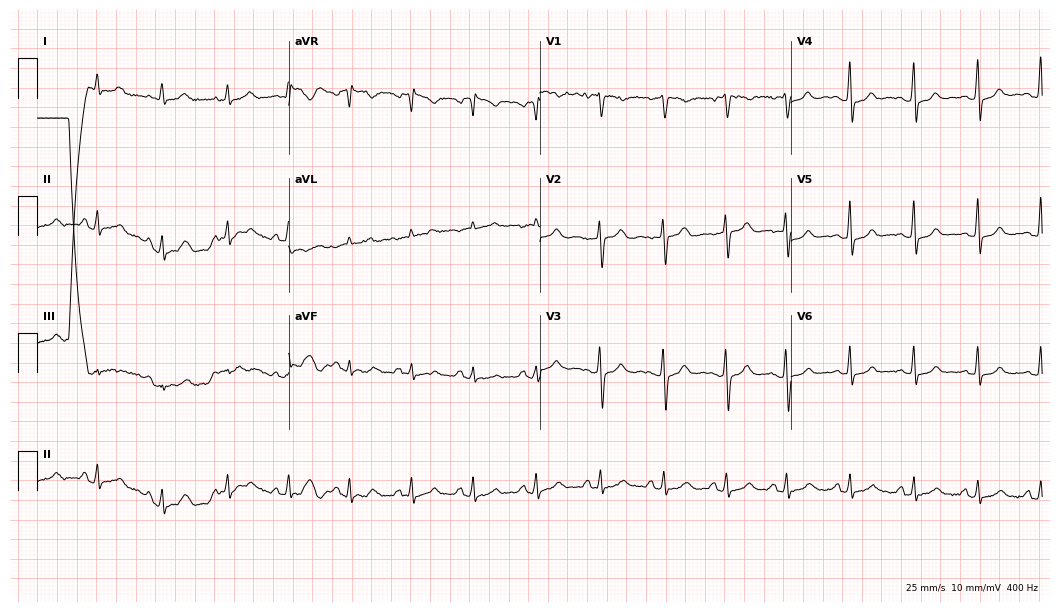
Electrocardiogram (10.2-second recording at 400 Hz), a female, 34 years old. Overall reading on record: normal ECG.